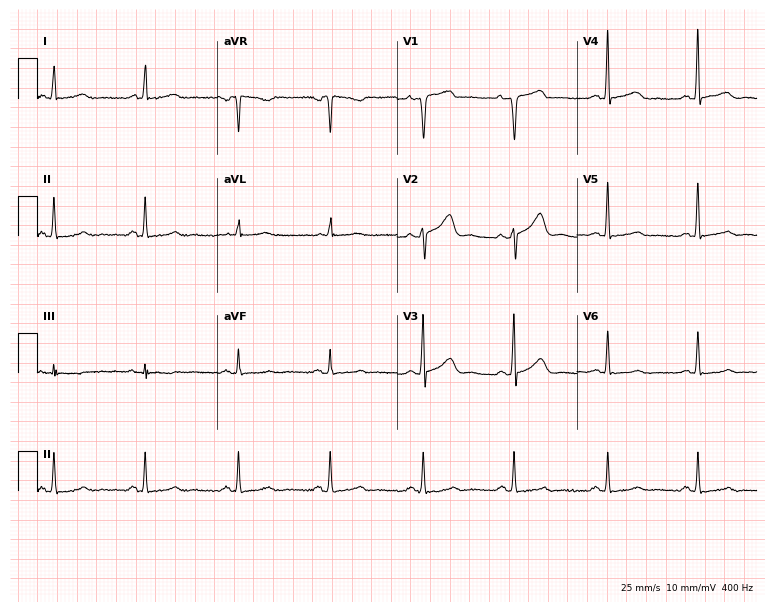
12-lead ECG from a woman, 40 years old (7.3-second recording at 400 Hz). Recorded interpretation: within normal limits.